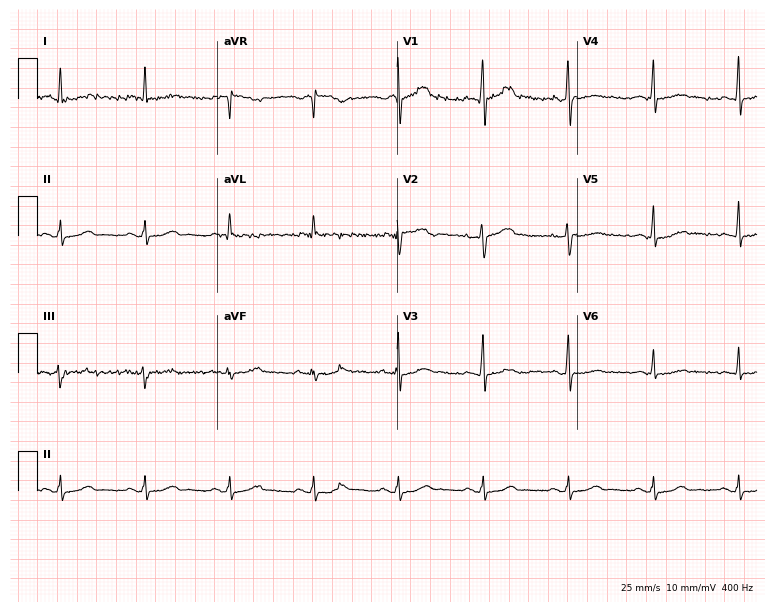
12-lead ECG from a 54-year-old male patient (7.3-second recording at 400 Hz). No first-degree AV block, right bundle branch block, left bundle branch block, sinus bradycardia, atrial fibrillation or sinus tachycardia recorded for this tracing.